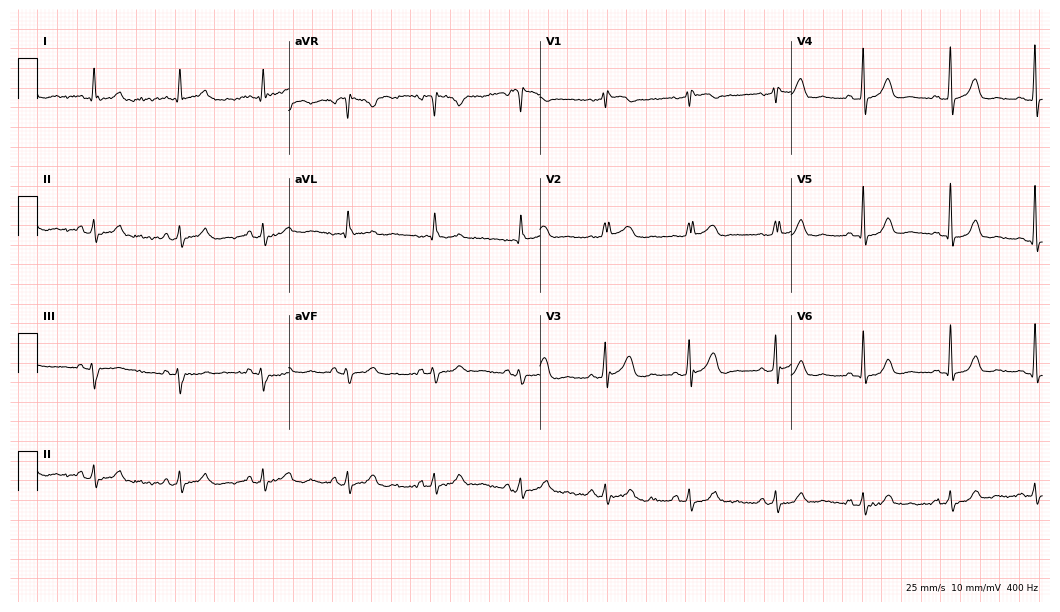
12-lead ECG from a female, 74 years old. Screened for six findings — first-degree AV block, right bundle branch block, left bundle branch block, sinus bradycardia, atrial fibrillation, sinus tachycardia — none is recorded. Findings outside these six are not listed.